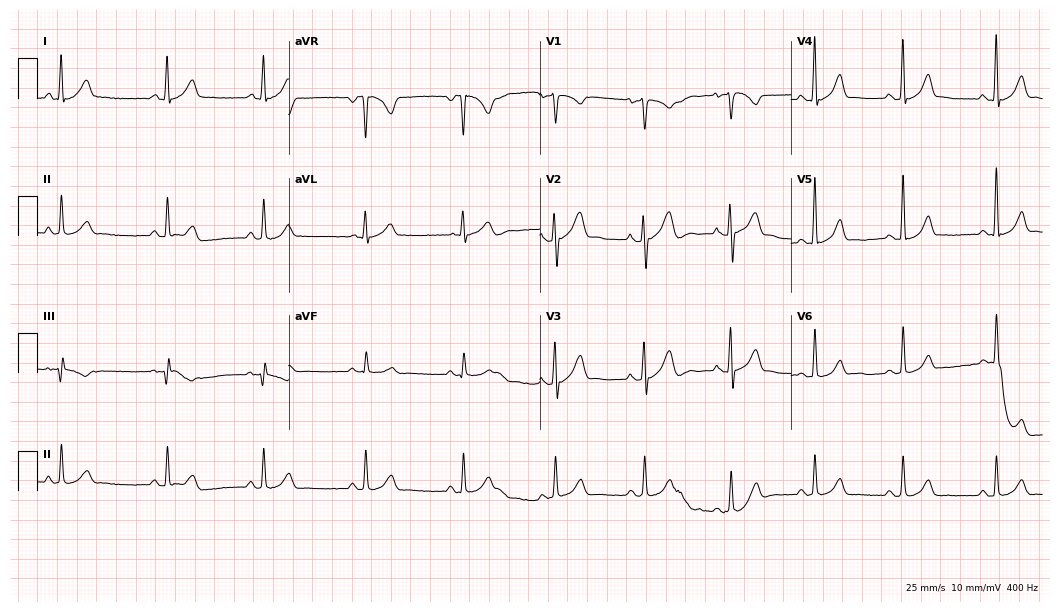
12-lead ECG from a woman, 27 years old. Recorded interpretation: within normal limits.